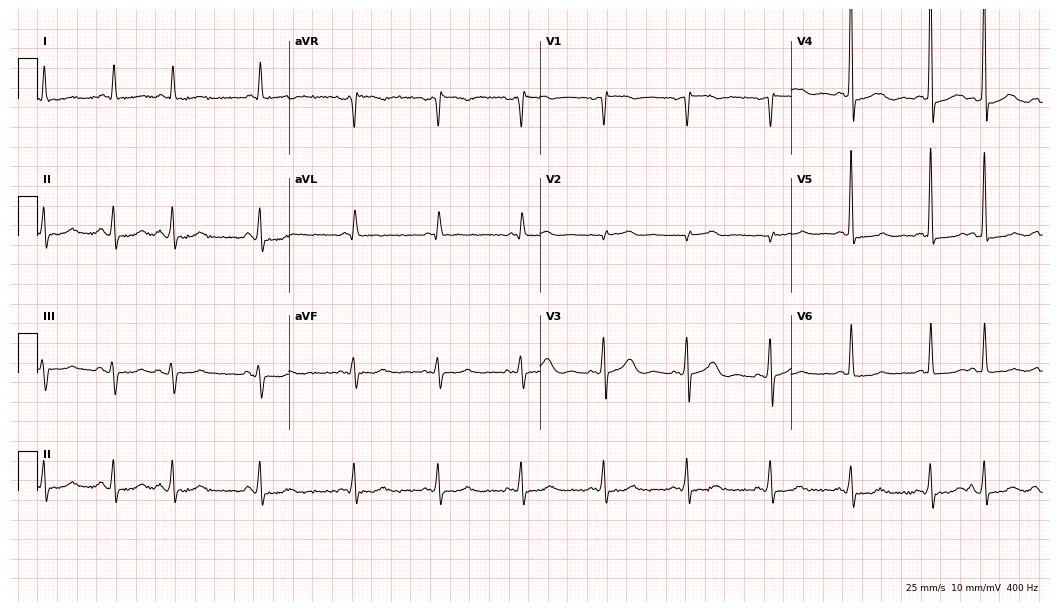
12-lead ECG from a 76-year-old female patient (10.2-second recording at 400 Hz). No first-degree AV block, right bundle branch block (RBBB), left bundle branch block (LBBB), sinus bradycardia, atrial fibrillation (AF) or sinus tachycardia recorded for this tracing.